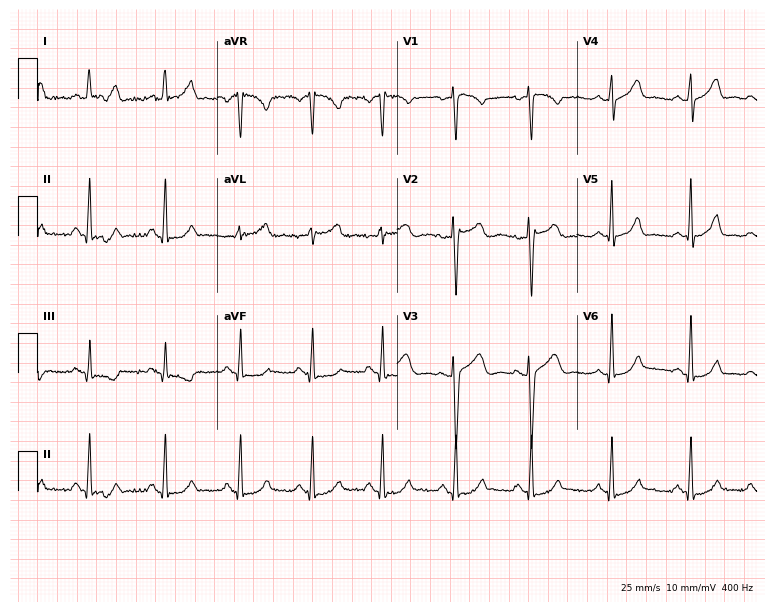
12-lead ECG (7.3-second recording at 400 Hz) from a 46-year-old woman. Labelled as a normal ECG.